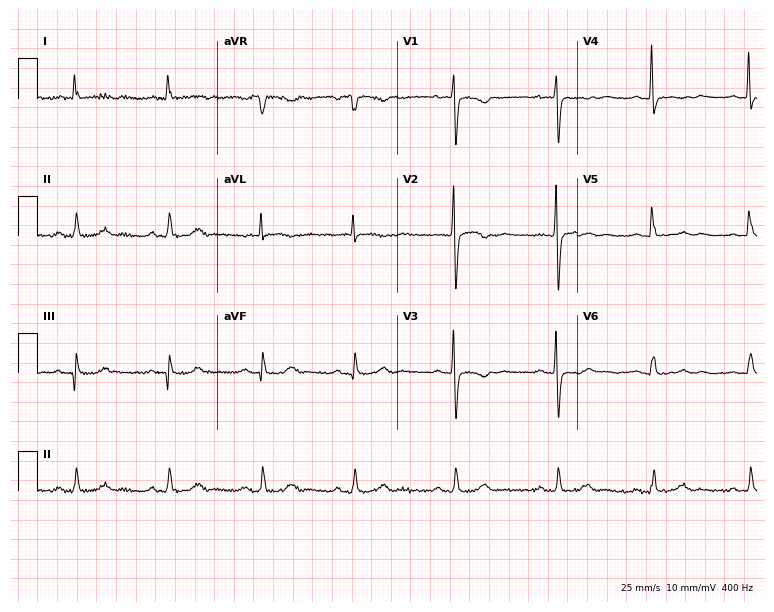
Standard 12-lead ECG recorded from a 75-year-old female (7.3-second recording at 400 Hz). None of these six findings is recorded: first-degree AV block, right bundle branch block, left bundle branch block, sinus bradycardia, atrial fibrillation, sinus tachycardia. Other findings, if any, are not listed.